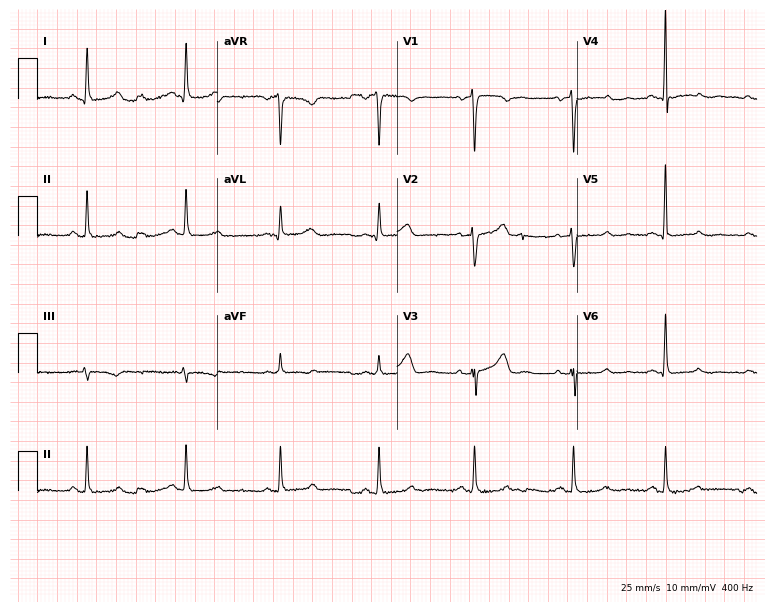
12-lead ECG from a 46-year-old woman. No first-degree AV block, right bundle branch block, left bundle branch block, sinus bradycardia, atrial fibrillation or sinus tachycardia recorded for this tracing. Other findings, if any, are not listed.